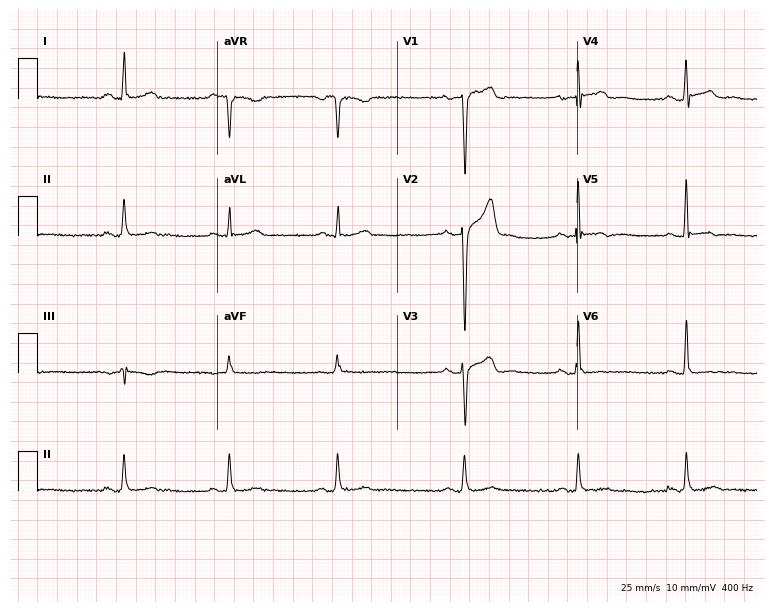
12-lead ECG (7.3-second recording at 400 Hz) from a man, 58 years old. Screened for six findings — first-degree AV block, right bundle branch block, left bundle branch block, sinus bradycardia, atrial fibrillation, sinus tachycardia — none is recorded.